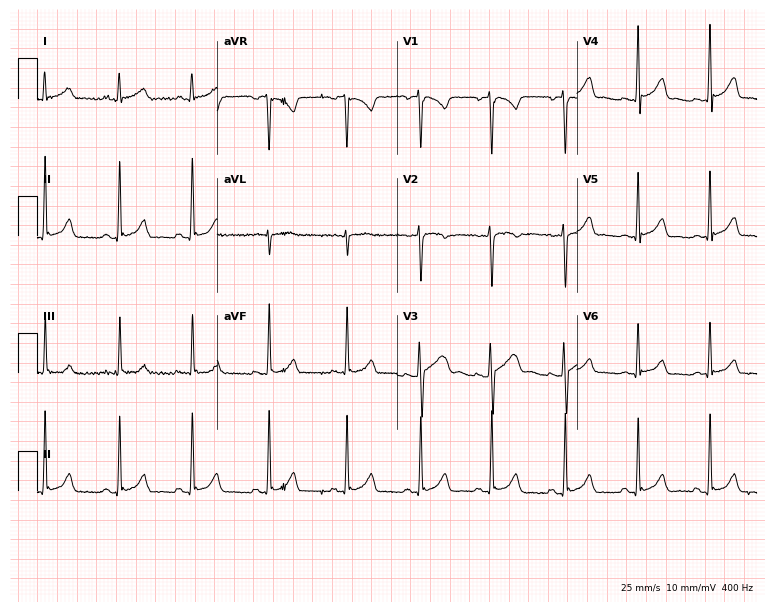
12-lead ECG (7.3-second recording at 400 Hz) from a 19-year-old female. Labelled as a normal ECG.